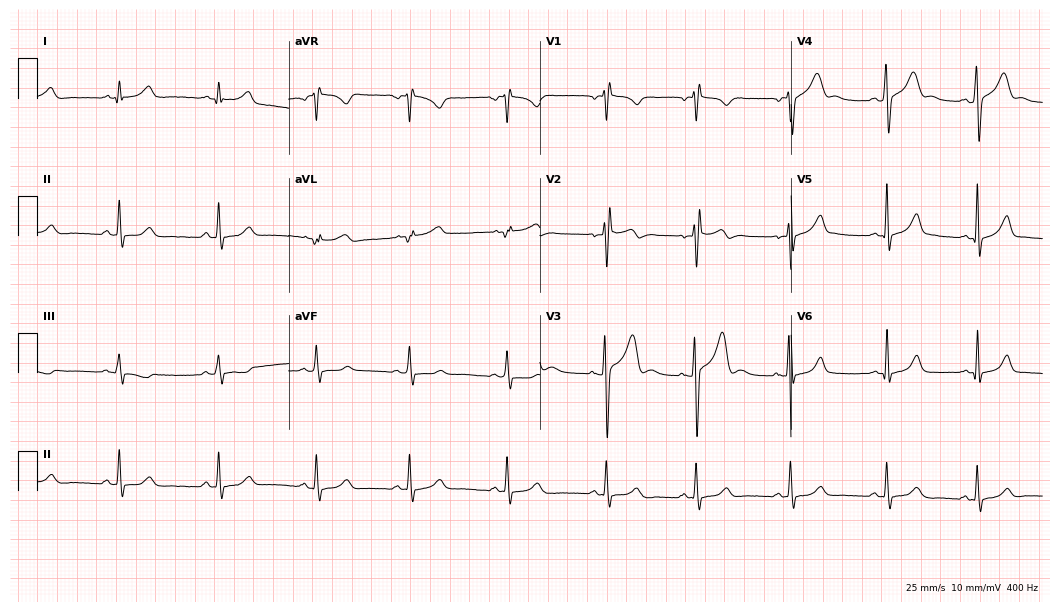
Standard 12-lead ECG recorded from a male patient, 18 years old. None of these six findings is recorded: first-degree AV block, right bundle branch block, left bundle branch block, sinus bradycardia, atrial fibrillation, sinus tachycardia.